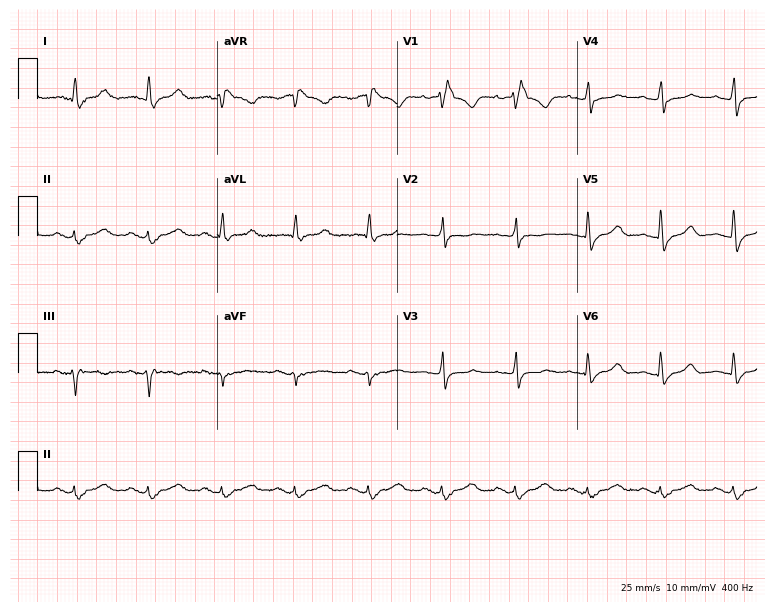
Standard 12-lead ECG recorded from a female, 72 years old (7.3-second recording at 400 Hz). The tracing shows right bundle branch block (RBBB).